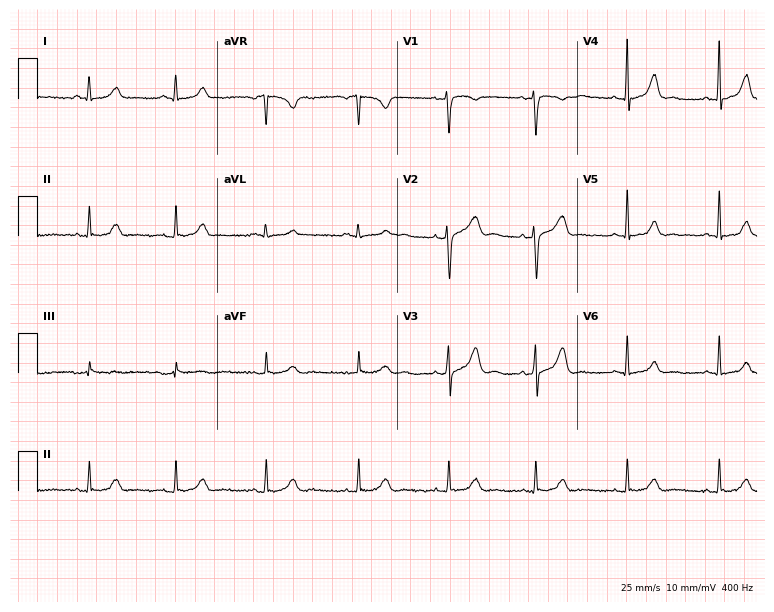
Electrocardiogram (7.3-second recording at 400 Hz), a female patient, 34 years old. Of the six screened findings (first-degree AV block, right bundle branch block (RBBB), left bundle branch block (LBBB), sinus bradycardia, atrial fibrillation (AF), sinus tachycardia), none is recorded. Other findings, if any, are not listed.